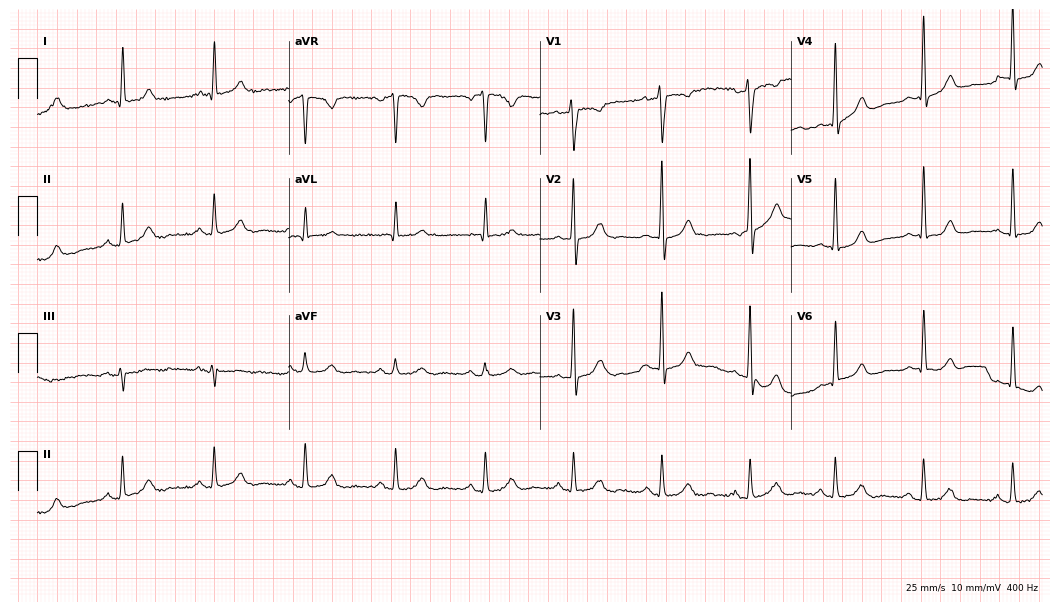
12-lead ECG from a 59-year-old male. No first-degree AV block, right bundle branch block, left bundle branch block, sinus bradycardia, atrial fibrillation or sinus tachycardia recorded for this tracing.